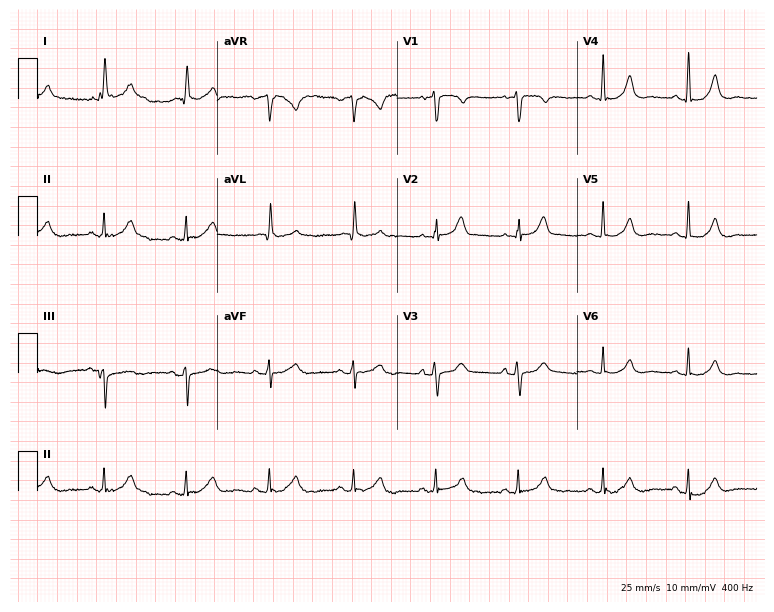
ECG (7.3-second recording at 400 Hz) — a male patient, 80 years old. Screened for six findings — first-degree AV block, right bundle branch block, left bundle branch block, sinus bradycardia, atrial fibrillation, sinus tachycardia — none is recorded.